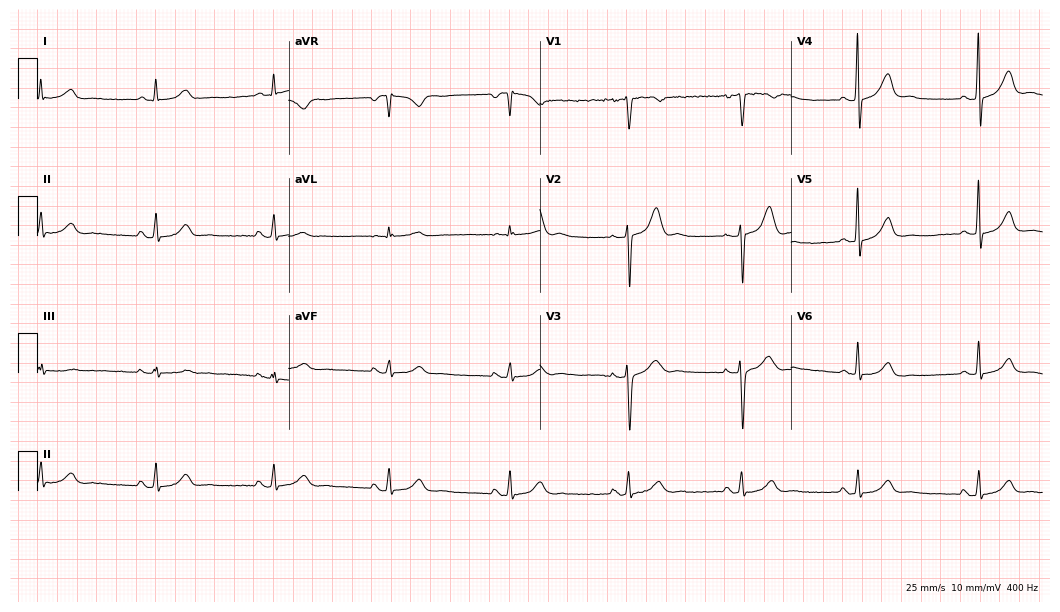
Standard 12-lead ECG recorded from a 50-year-old man (10.2-second recording at 400 Hz). The tracing shows sinus bradycardia (a sinus rate of 50 beats per minute or less).